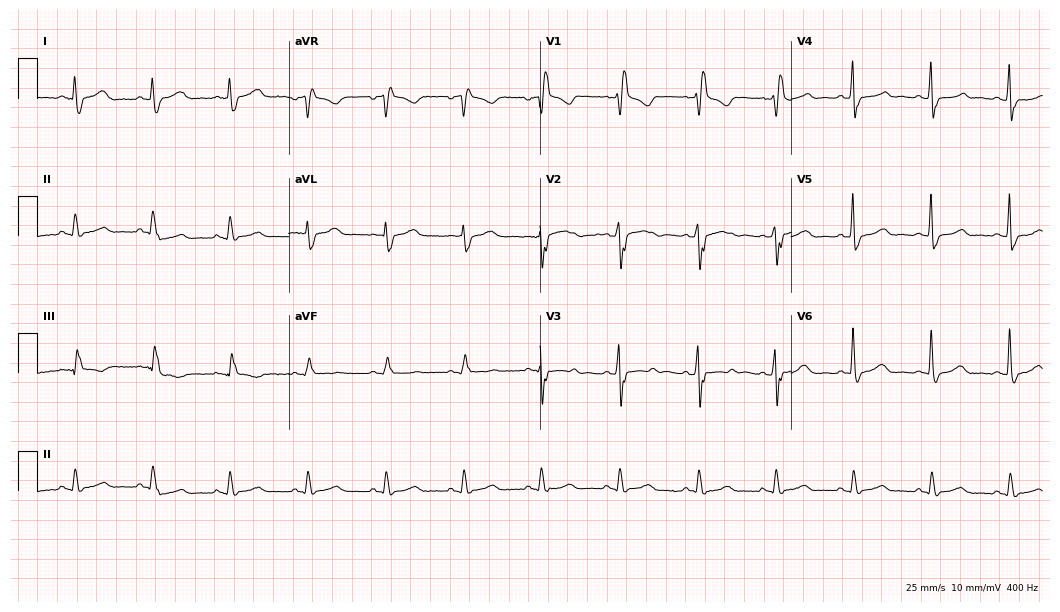
12-lead ECG from a male, 71 years old. Shows right bundle branch block.